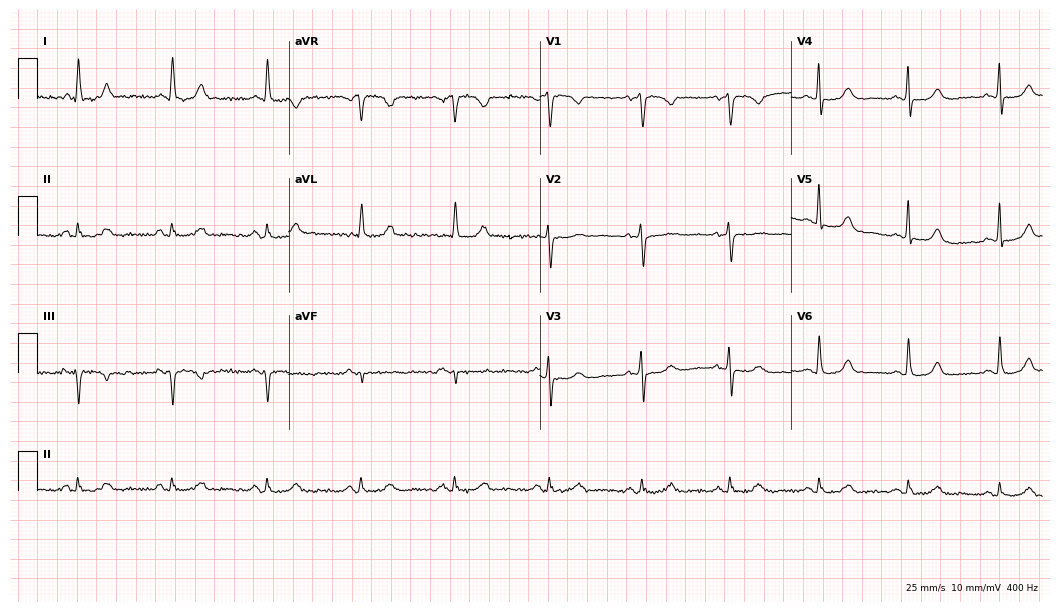
Standard 12-lead ECG recorded from a 69-year-old woman (10.2-second recording at 400 Hz). Read as a normal ECG.